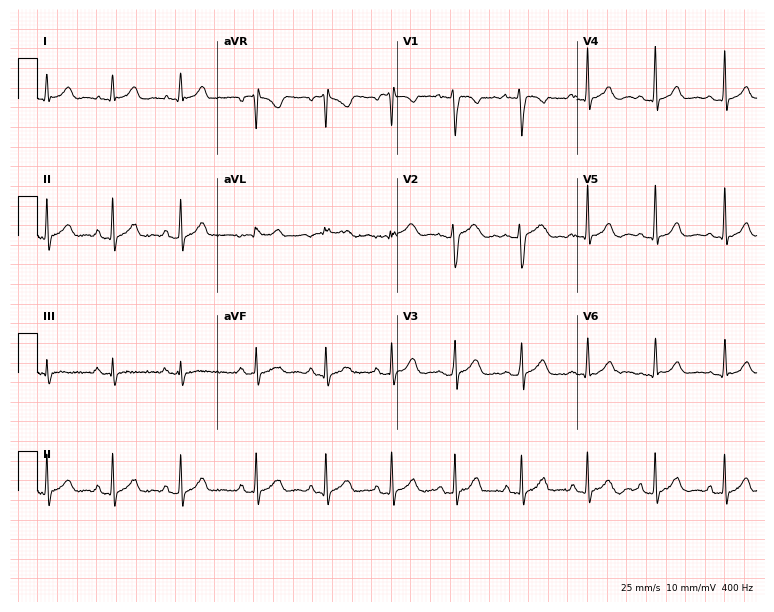
Resting 12-lead electrocardiogram. Patient: a 26-year-old female. Read as a normal ECG.